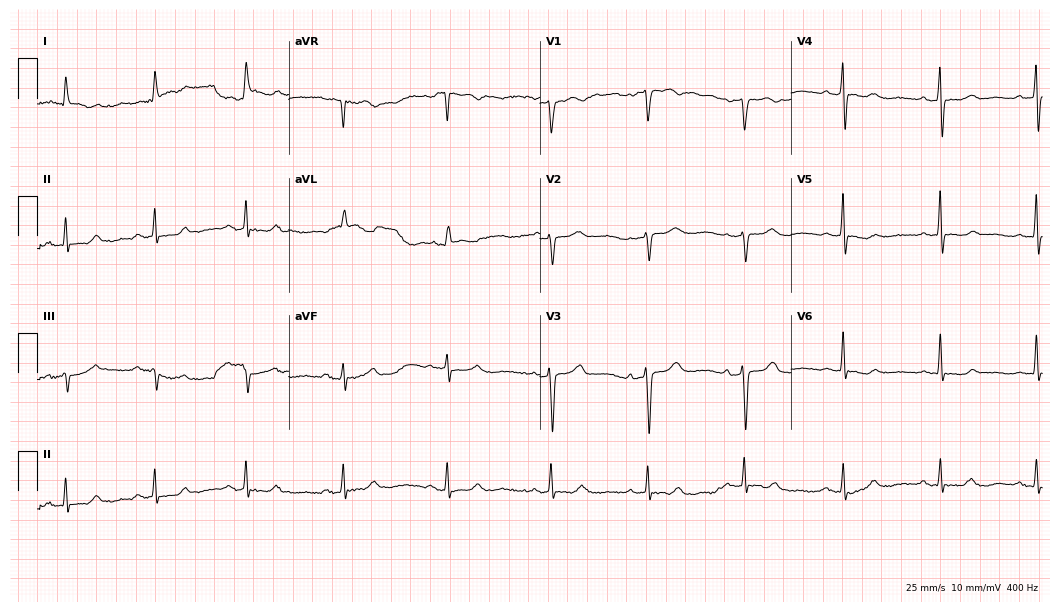
12-lead ECG from an 81-year-old woman (10.2-second recording at 400 Hz). No first-degree AV block, right bundle branch block, left bundle branch block, sinus bradycardia, atrial fibrillation or sinus tachycardia recorded for this tracing.